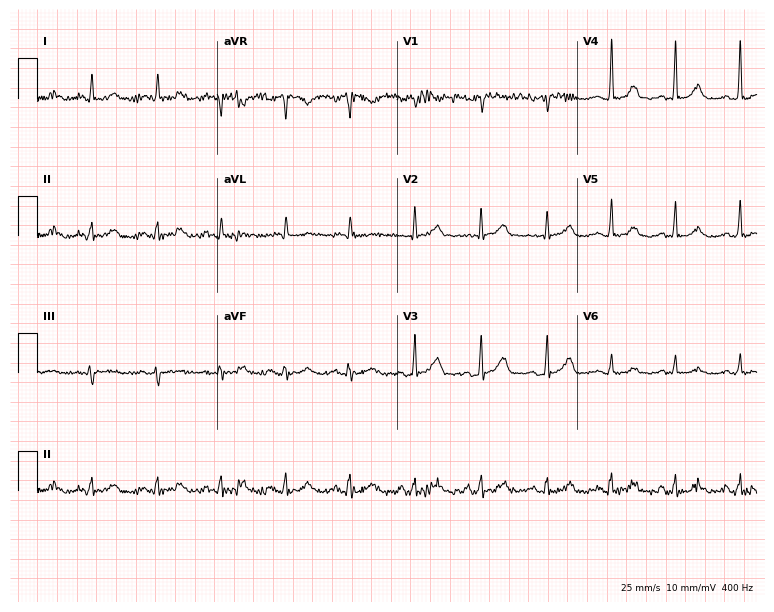
Standard 12-lead ECG recorded from a male patient, 64 years old. None of these six findings is recorded: first-degree AV block, right bundle branch block (RBBB), left bundle branch block (LBBB), sinus bradycardia, atrial fibrillation (AF), sinus tachycardia.